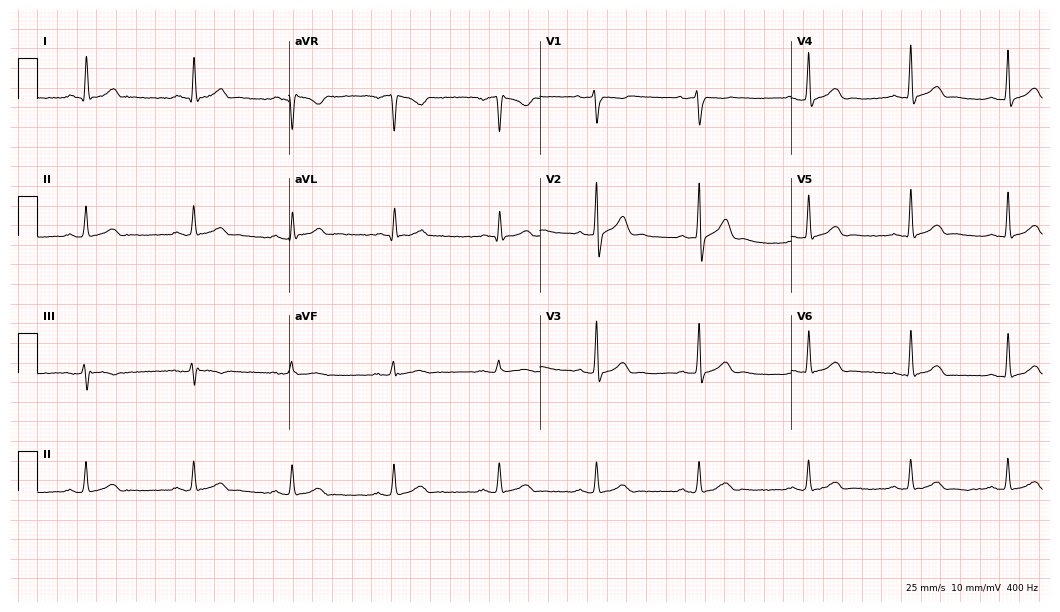
Resting 12-lead electrocardiogram (10.2-second recording at 400 Hz). Patient: a male, 41 years old. Read as a normal ECG.